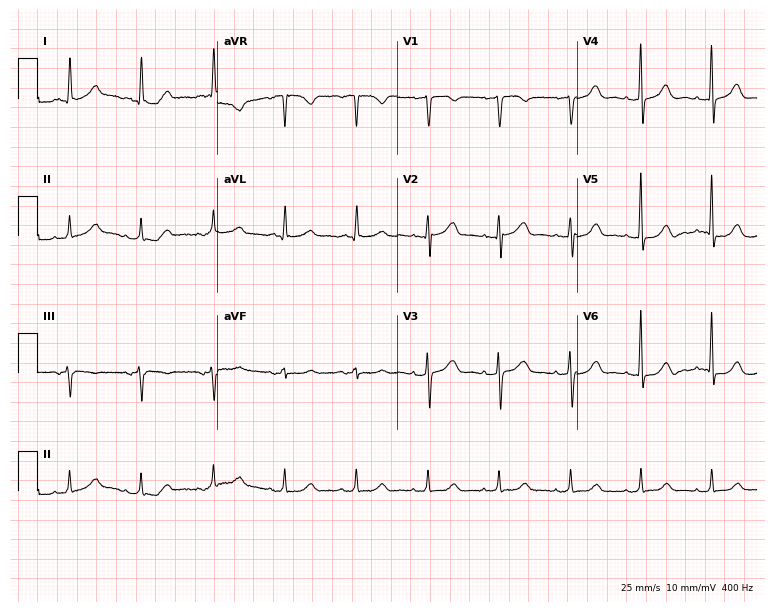
Standard 12-lead ECG recorded from a female, 73 years old (7.3-second recording at 400 Hz). None of these six findings is recorded: first-degree AV block, right bundle branch block, left bundle branch block, sinus bradycardia, atrial fibrillation, sinus tachycardia. Other findings, if any, are not listed.